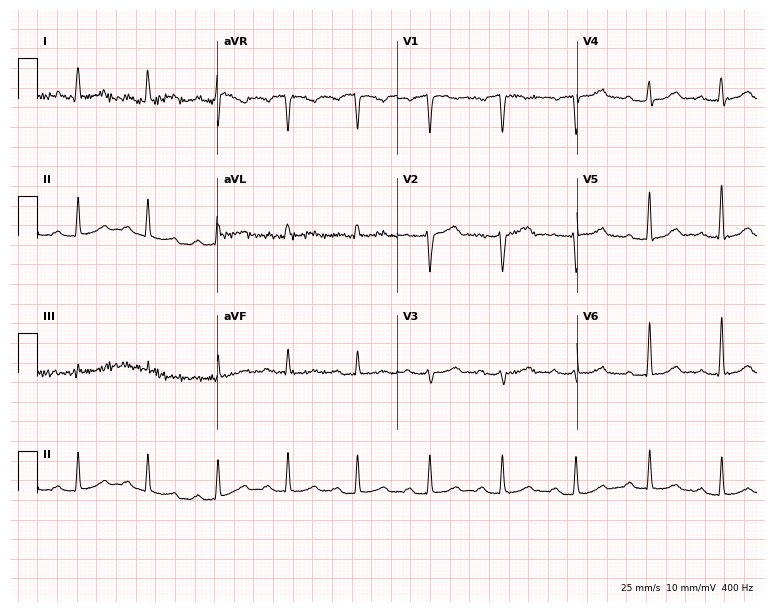
12-lead ECG from a 45-year-old female patient (7.3-second recording at 400 Hz). Recorded interpretation: within normal limits.